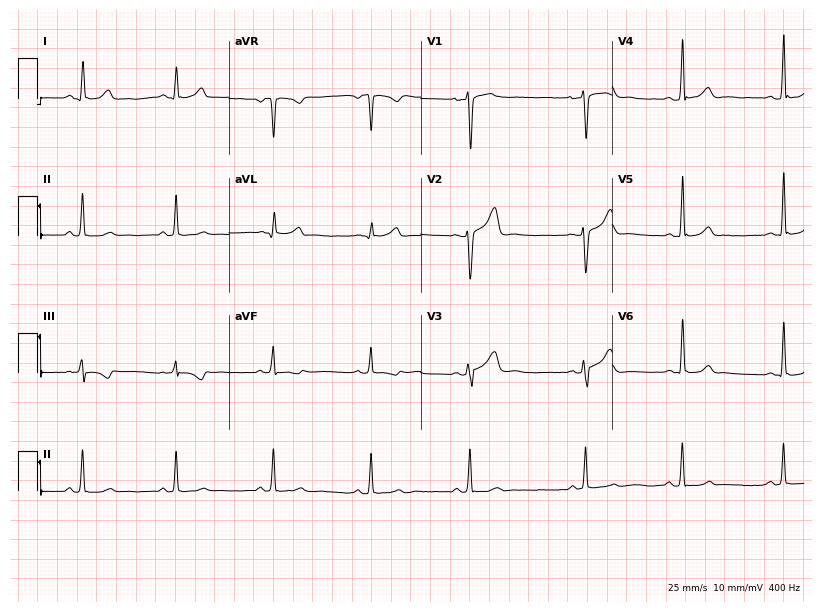
ECG — a 21-year-old woman. Screened for six findings — first-degree AV block, right bundle branch block (RBBB), left bundle branch block (LBBB), sinus bradycardia, atrial fibrillation (AF), sinus tachycardia — none is recorded. Other findings, if any, are not listed.